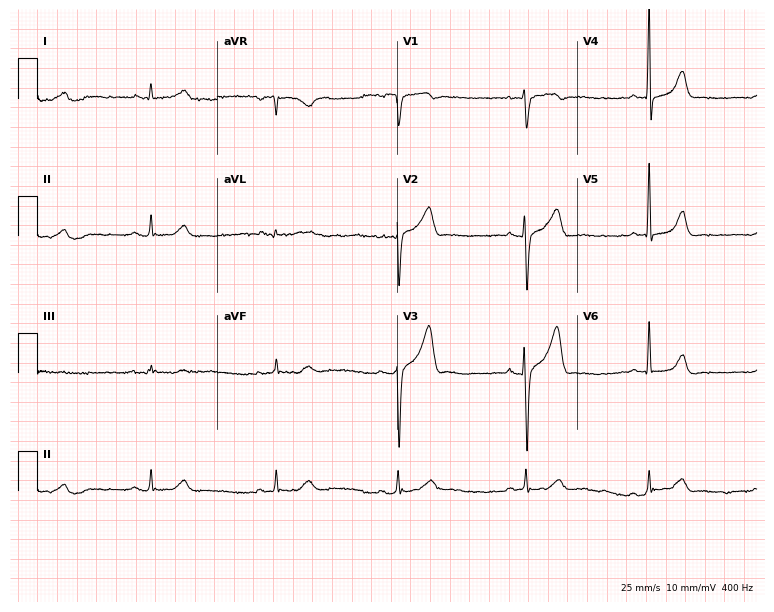
12-lead ECG from a 55-year-old male. Findings include sinus bradycardia (a sinus rate of 50 beats per minute or less).